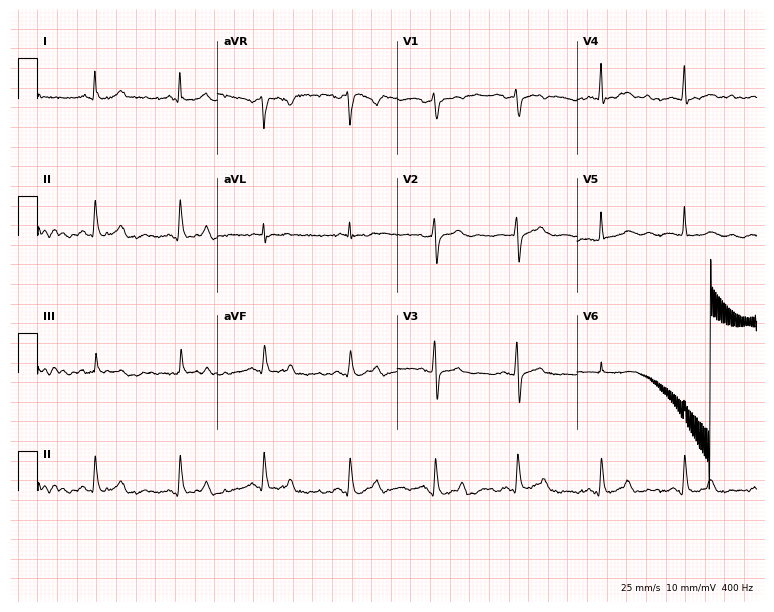
12-lead ECG from a 64-year-old male. Labelled as a normal ECG.